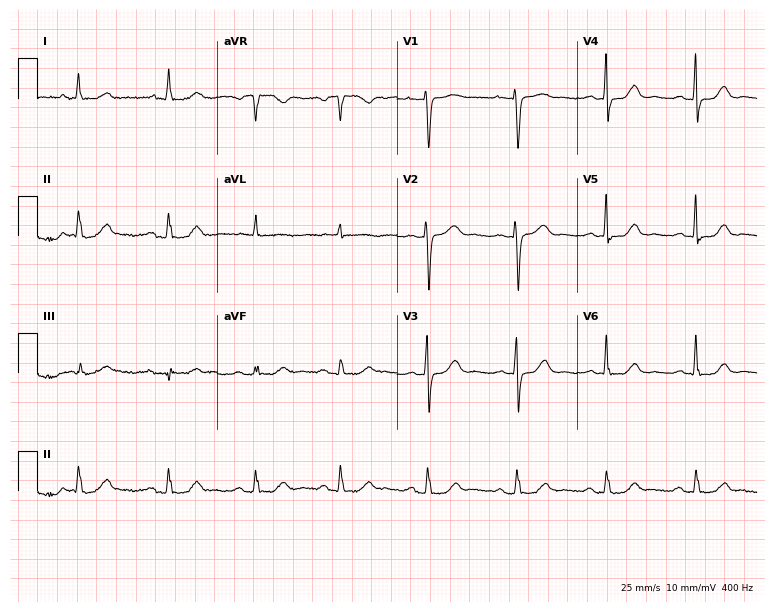
ECG — an 84-year-old female. Screened for six findings — first-degree AV block, right bundle branch block, left bundle branch block, sinus bradycardia, atrial fibrillation, sinus tachycardia — none is recorded.